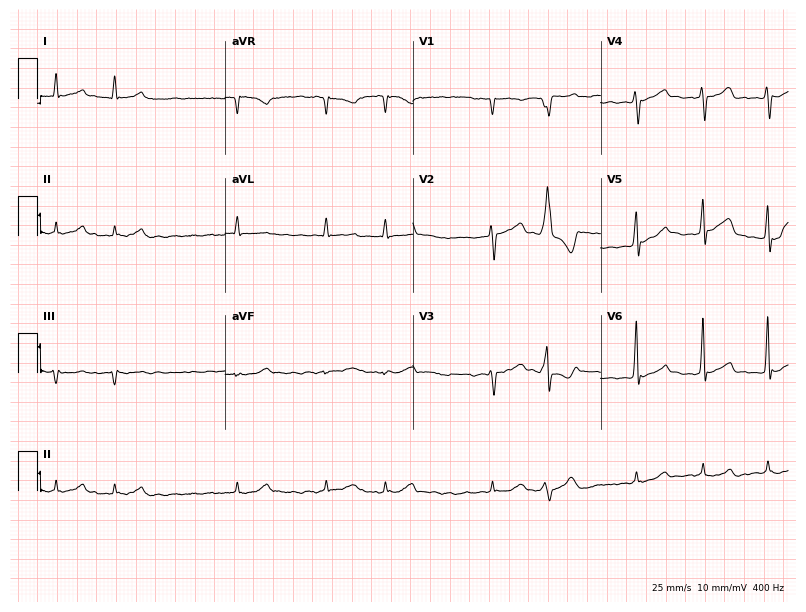
12-lead ECG from a 78-year-old male patient (7.7-second recording at 400 Hz). Shows atrial fibrillation.